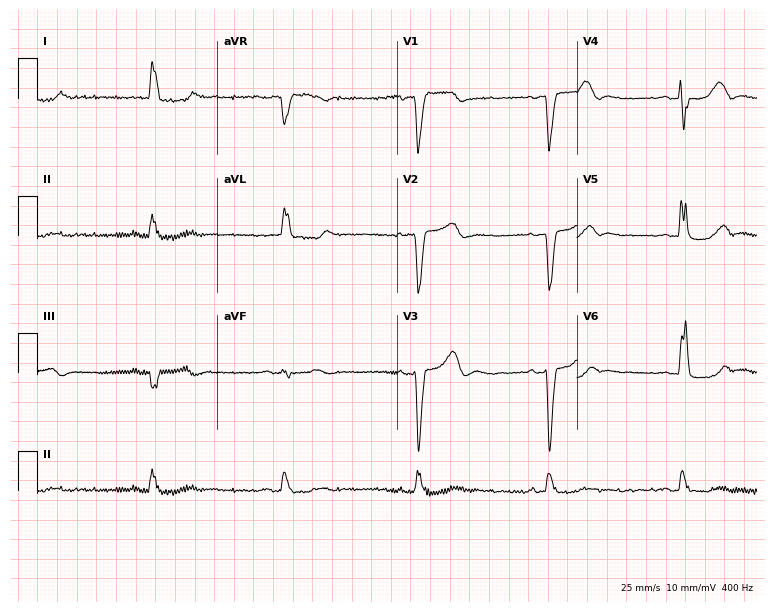
Resting 12-lead electrocardiogram (7.3-second recording at 400 Hz). Patient: a 73-year-old female. The tracing shows left bundle branch block, sinus bradycardia (a sinus rate of 50 beats per minute or less).